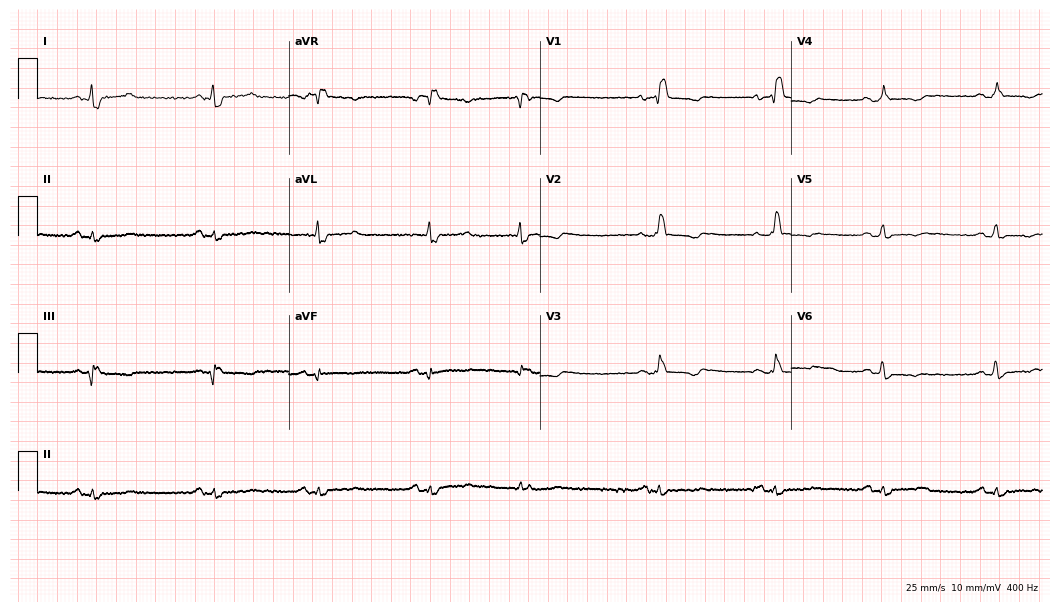
Resting 12-lead electrocardiogram. Patient: a woman, 68 years old. None of these six findings is recorded: first-degree AV block, right bundle branch block, left bundle branch block, sinus bradycardia, atrial fibrillation, sinus tachycardia.